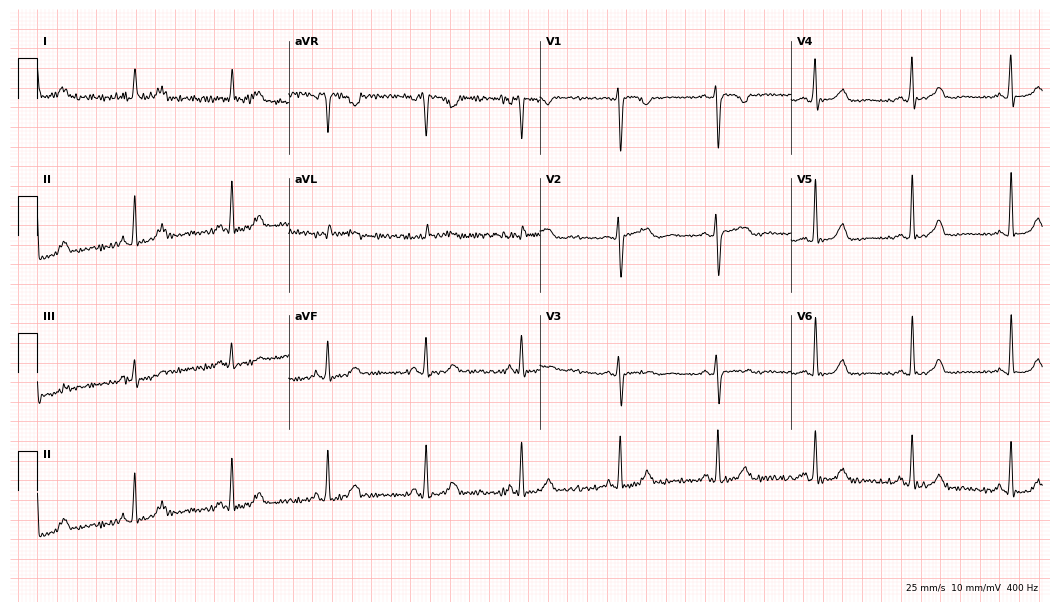
Standard 12-lead ECG recorded from a female patient, 46 years old. None of these six findings is recorded: first-degree AV block, right bundle branch block, left bundle branch block, sinus bradycardia, atrial fibrillation, sinus tachycardia. Only these six findings were labelled.